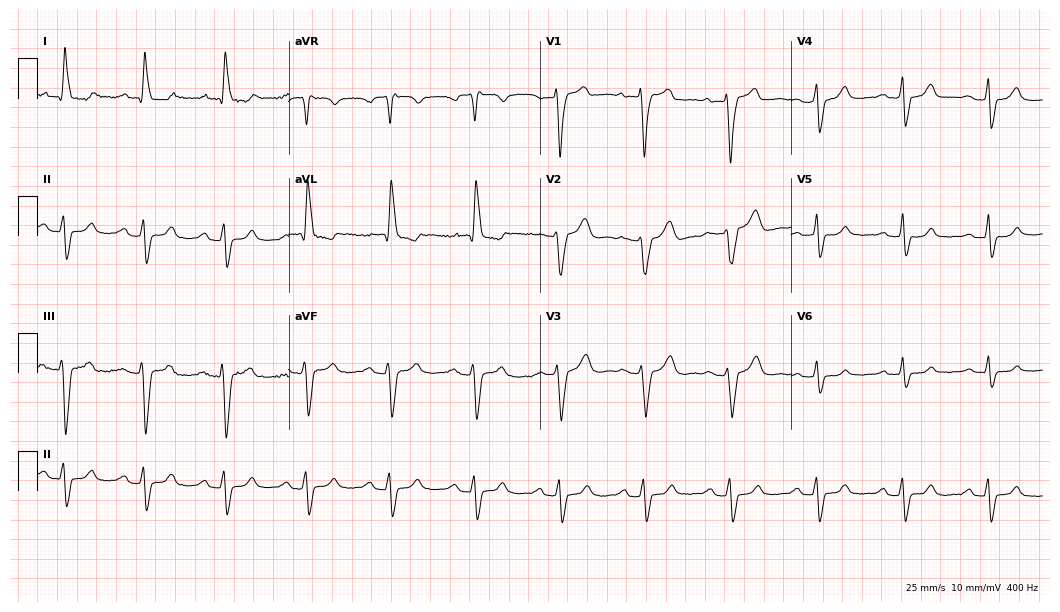
ECG (10.2-second recording at 400 Hz) — a woman, 58 years old. Screened for six findings — first-degree AV block, right bundle branch block, left bundle branch block, sinus bradycardia, atrial fibrillation, sinus tachycardia — none is recorded.